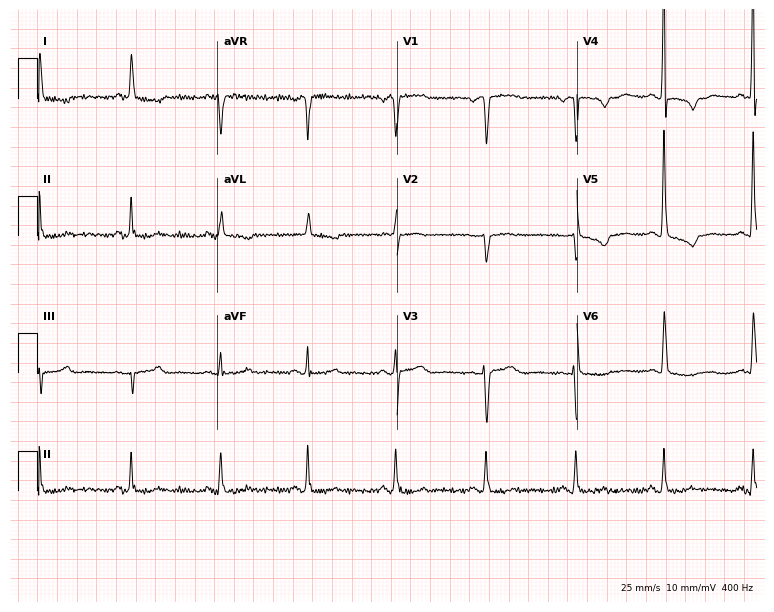
Standard 12-lead ECG recorded from a woman, 74 years old. None of these six findings is recorded: first-degree AV block, right bundle branch block, left bundle branch block, sinus bradycardia, atrial fibrillation, sinus tachycardia.